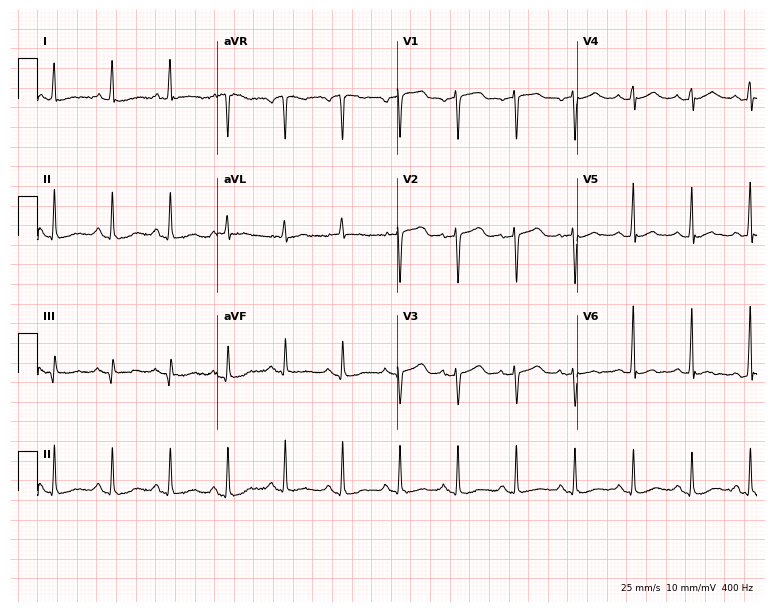
Standard 12-lead ECG recorded from a female, 72 years old (7.3-second recording at 400 Hz). None of these six findings is recorded: first-degree AV block, right bundle branch block, left bundle branch block, sinus bradycardia, atrial fibrillation, sinus tachycardia.